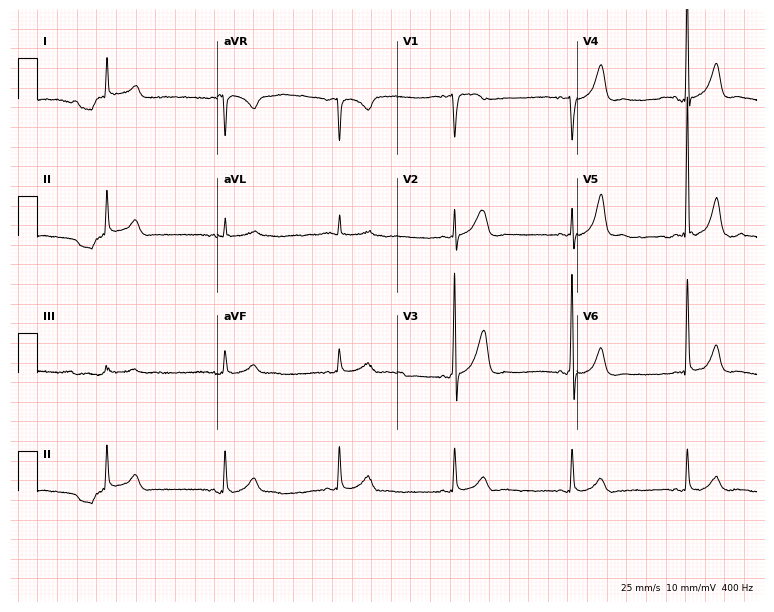
Electrocardiogram, a 62-year-old male patient. Of the six screened findings (first-degree AV block, right bundle branch block, left bundle branch block, sinus bradycardia, atrial fibrillation, sinus tachycardia), none is recorded. Other findings, if any, are not listed.